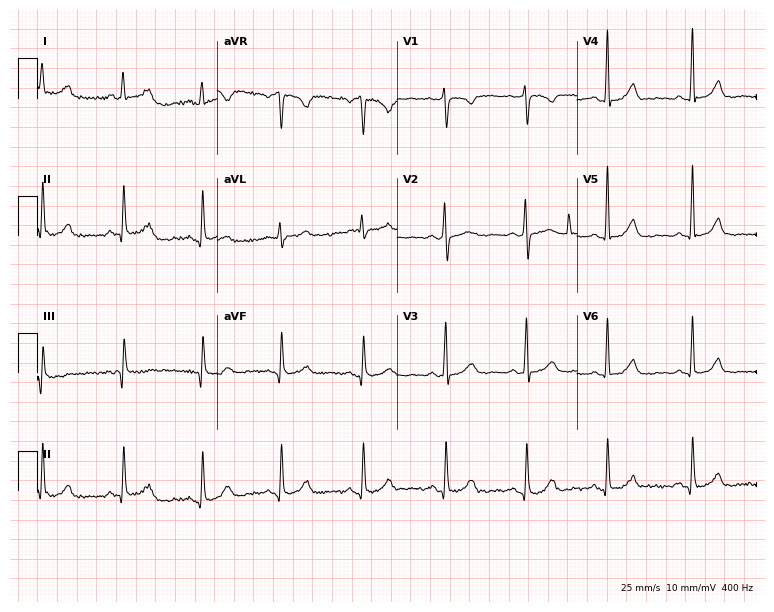
12-lead ECG from a 43-year-old female. Screened for six findings — first-degree AV block, right bundle branch block, left bundle branch block, sinus bradycardia, atrial fibrillation, sinus tachycardia — none is recorded. Only these six findings were labelled.